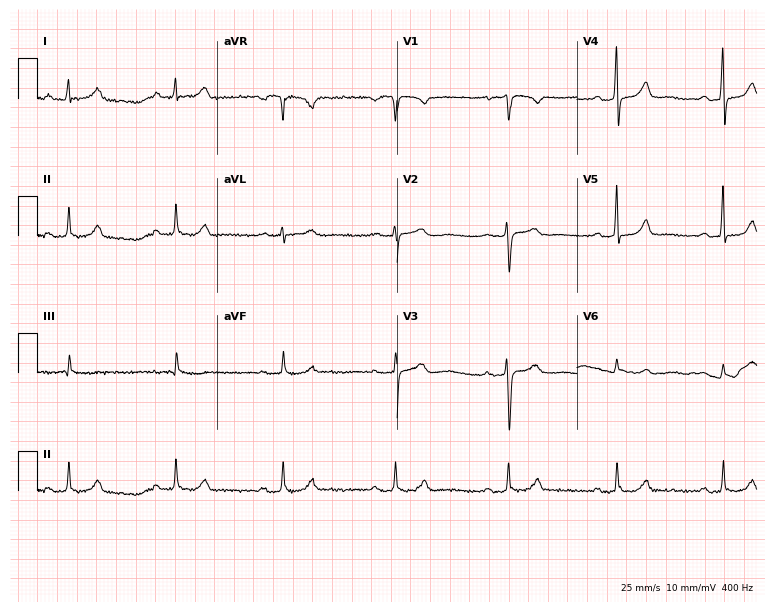
Resting 12-lead electrocardiogram. Patient: a 47-year-old woman. Read as a normal ECG.